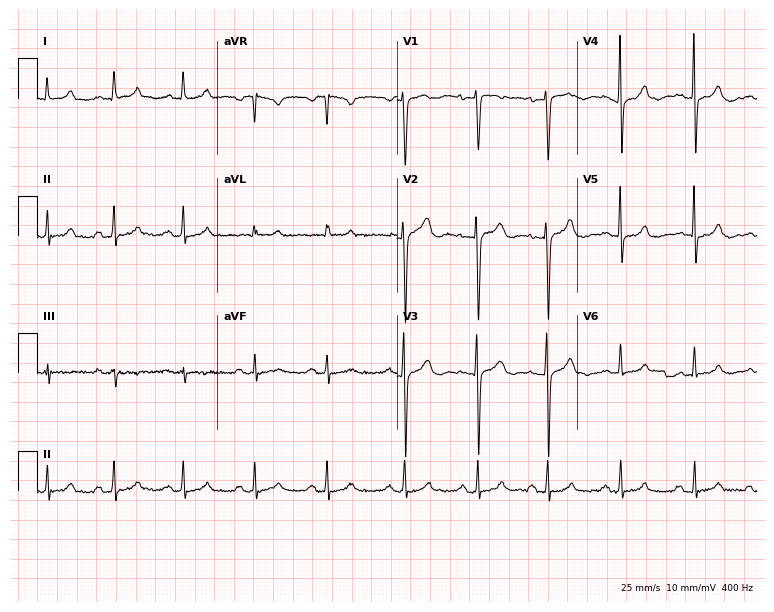
12-lead ECG from a female, 35 years old. Screened for six findings — first-degree AV block, right bundle branch block (RBBB), left bundle branch block (LBBB), sinus bradycardia, atrial fibrillation (AF), sinus tachycardia — none is recorded. Findings outside these six are not listed.